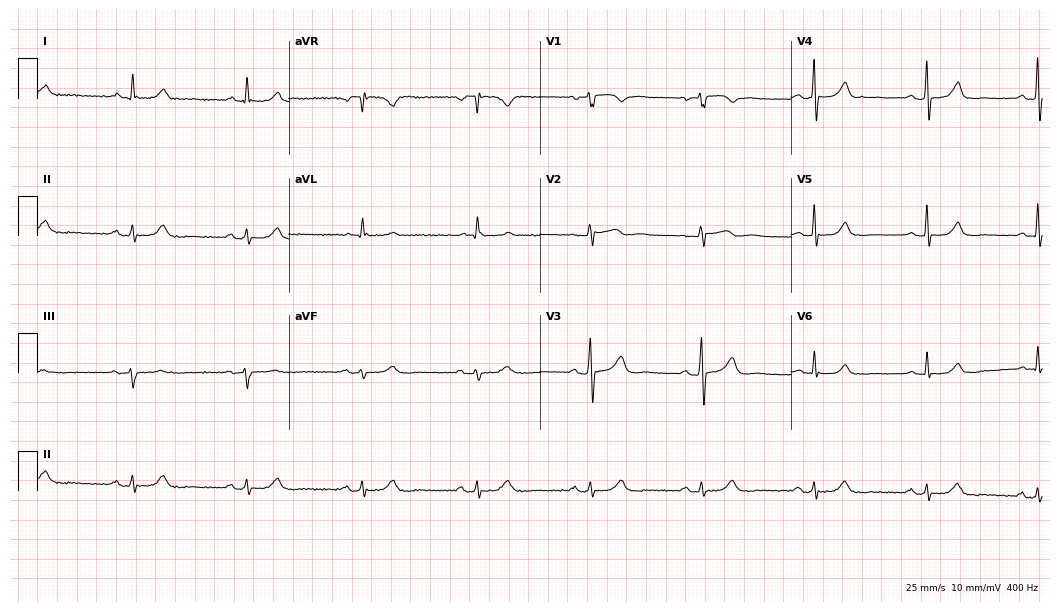
12-lead ECG from a 76-year-old male patient. No first-degree AV block, right bundle branch block, left bundle branch block, sinus bradycardia, atrial fibrillation or sinus tachycardia recorded for this tracing.